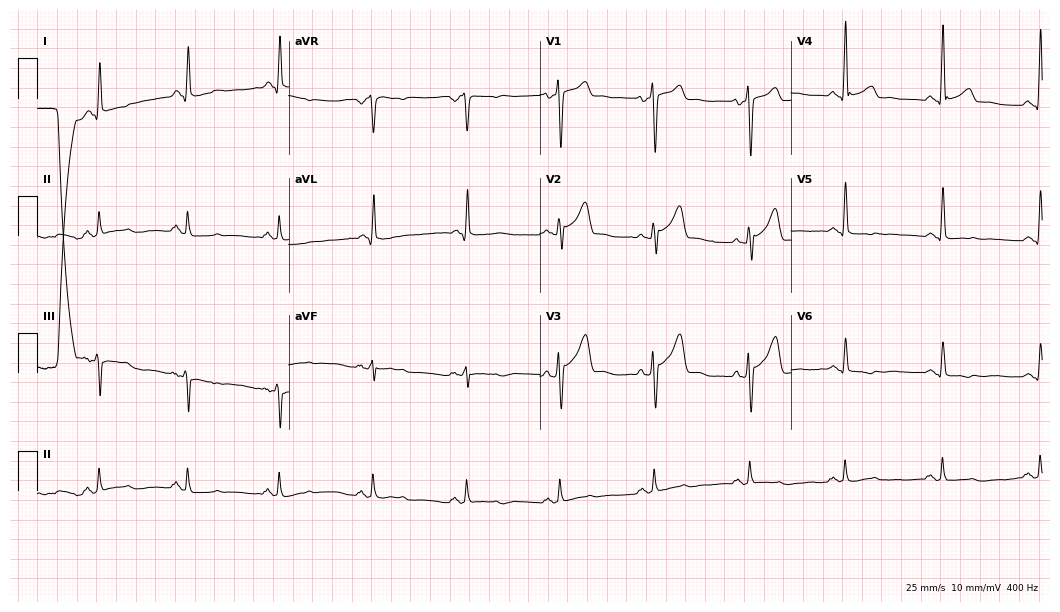
12-lead ECG from a 39-year-old male patient. Screened for six findings — first-degree AV block, right bundle branch block (RBBB), left bundle branch block (LBBB), sinus bradycardia, atrial fibrillation (AF), sinus tachycardia — none is recorded.